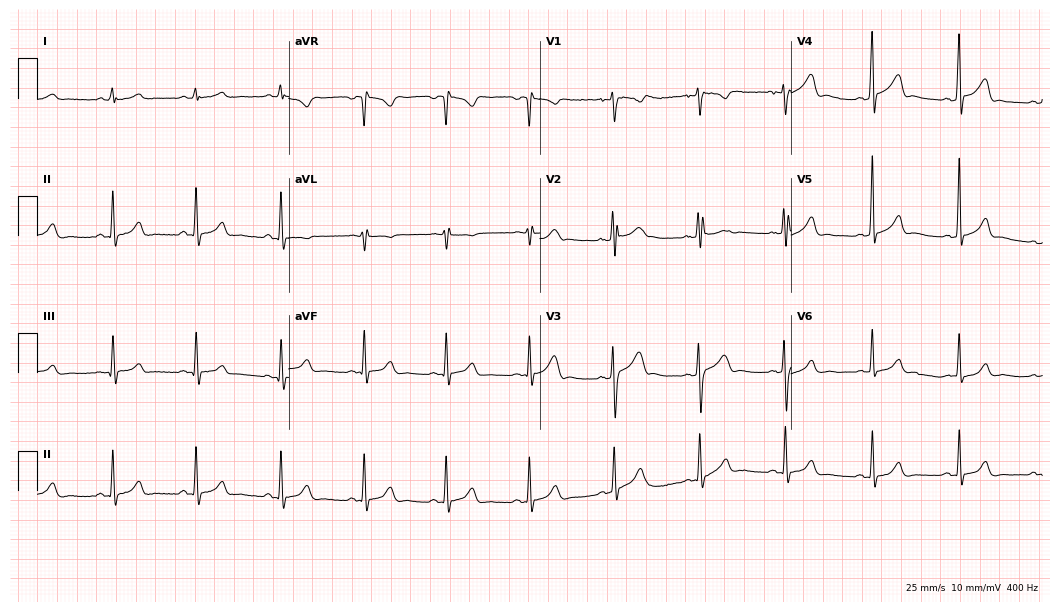
Standard 12-lead ECG recorded from a man, 26 years old. Read as a normal ECG.